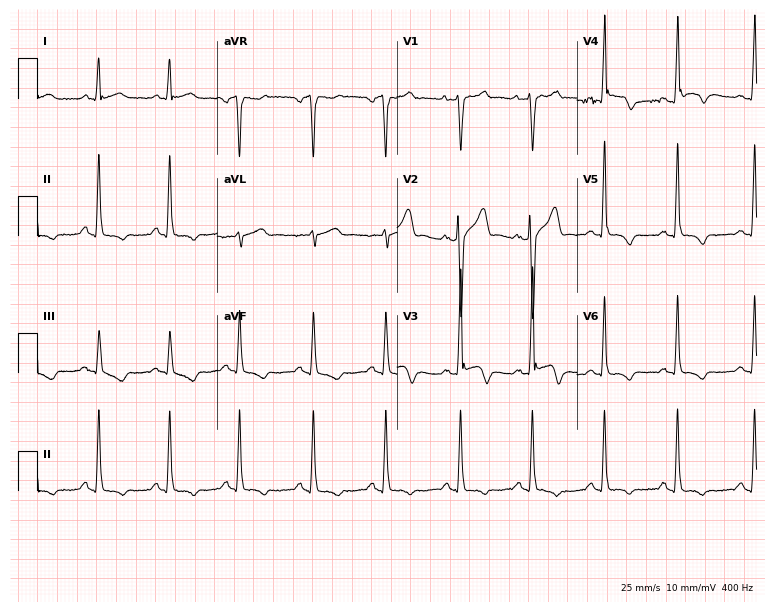
12-lead ECG (7.3-second recording at 400 Hz) from a 54-year-old man. Screened for six findings — first-degree AV block, right bundle branch block, left bundle branch block, sinus bradycardia, atrial fibrillation, sinus tachycardia — none is recorded.